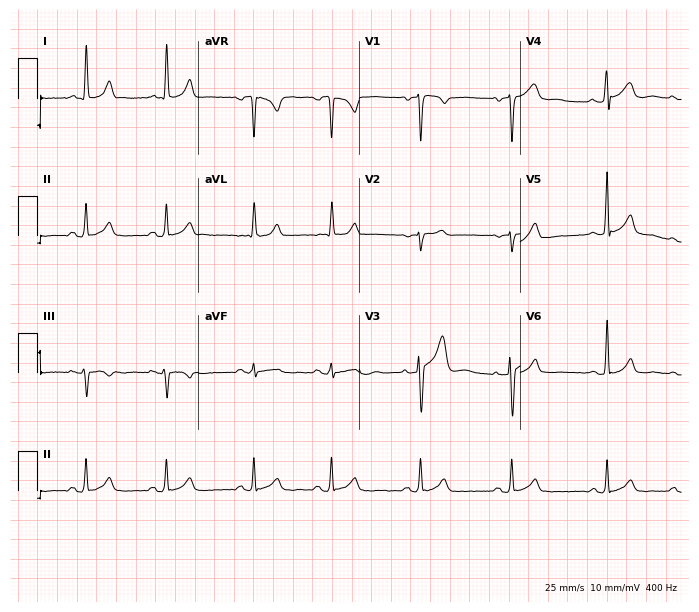
12-lead ECG from a male patient, 23 years old (6.6-second recording at 400 Hz). Recorded interpretation: within normal limits.